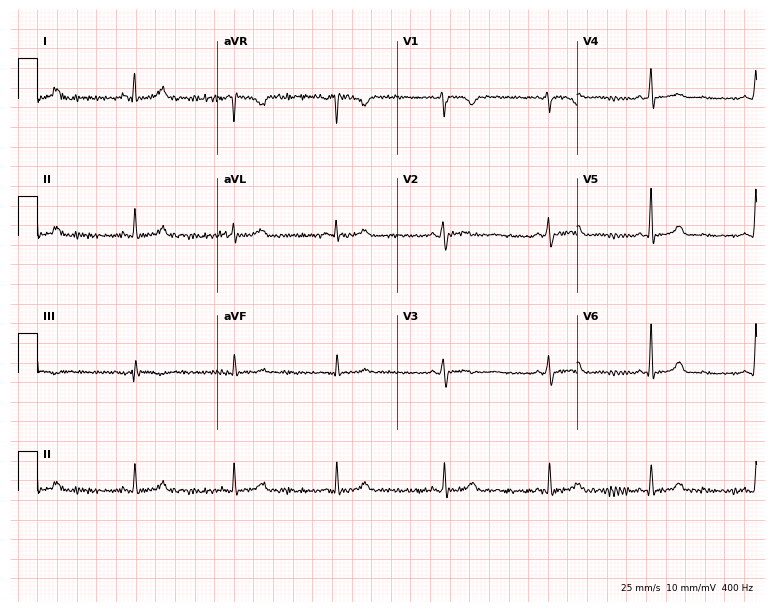
Standard 12-lead ECG recorded from a female, 45 years old. None of these six findings is recorded: first-degree AV block, right bundle branch block, left bundle branch block, sinus bradycardia, atrial fibrillation, sinus tachycardia. Only these six findings were labelled.